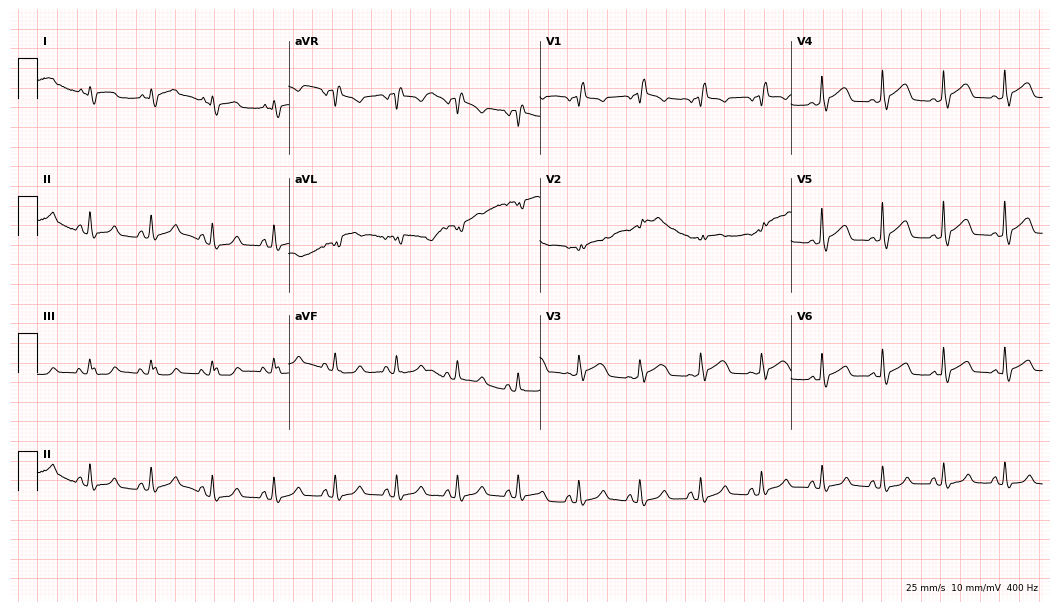
12-lead ECG (10.2-second recording at 400 Hz) from a 79-year-old man. Screened for six findings — first-degree AV block, right bundle branch block, left bundle branch block, sinus bradycardia, atrial fibrillation, sinus tachycardia — none is recorded.